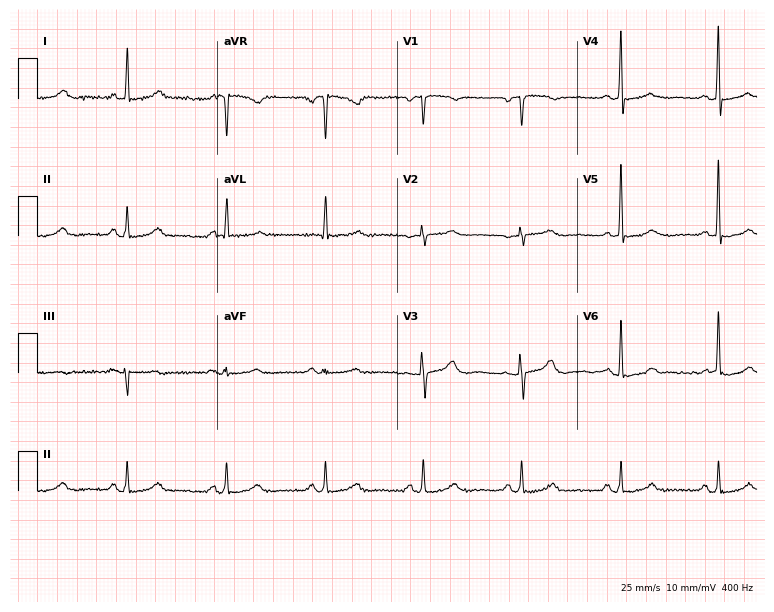
12-lead ECG from a 62-year-old woman. Recorded interpretation: within normal limits.